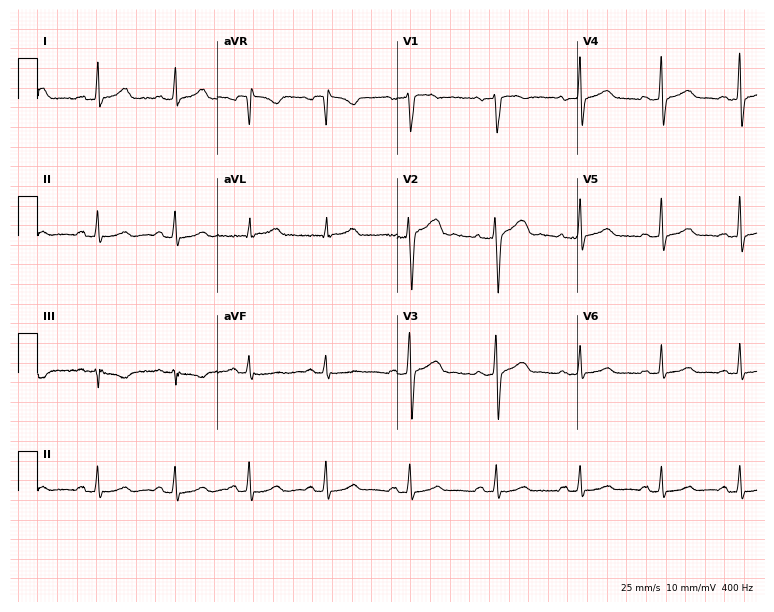
Electrocardiogram, a woman, 30 years old. Of the six screened findings (first-degree AV block, right bundle branch block (RBBB), left bundle branch block (LBBB), sinus bradycardia, atrial fibrillation (AF), sinus tachycardia), none is recorded.